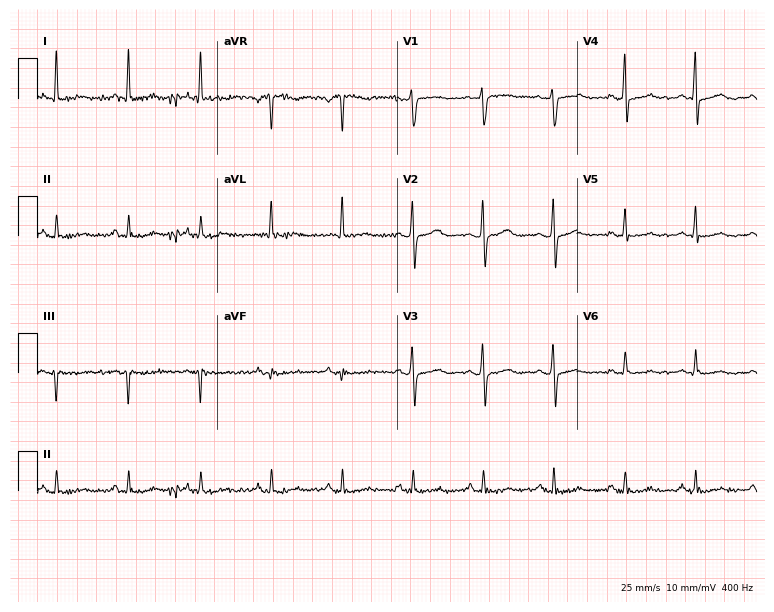
Electrocardiogram, a 62-year-old woman. Overall reading on record: normal ECG.